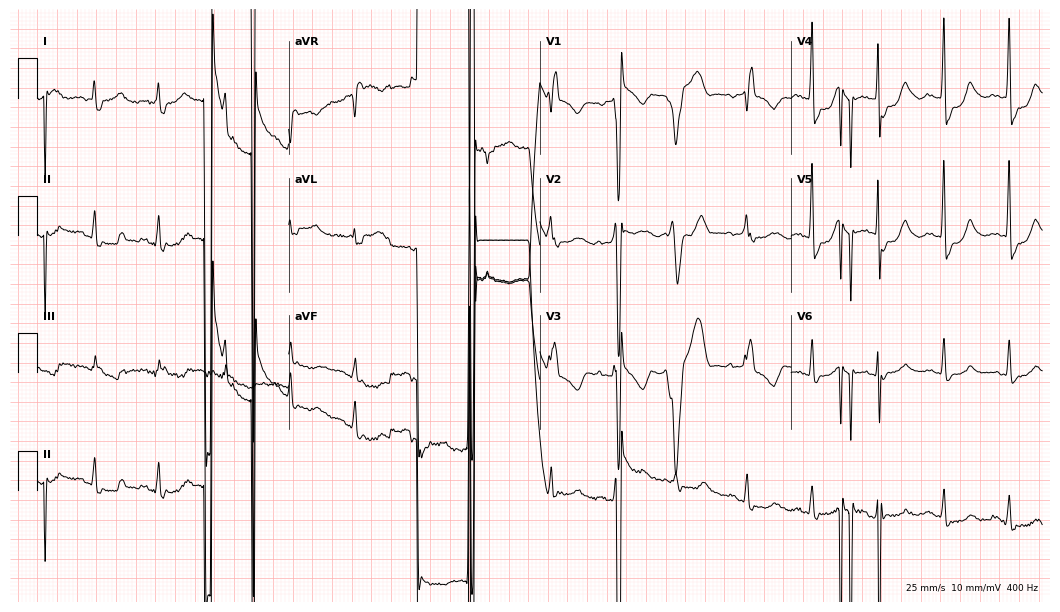
Electrocardiogram, a female patient, 81 years old. Of the six screened findings (first-degree AV block, right bundle branch block, left bundle branch block, sinus bradycardia, atrial fibrillation, sinus tachycardia), none is recorded. Findings outside these six are not listed.